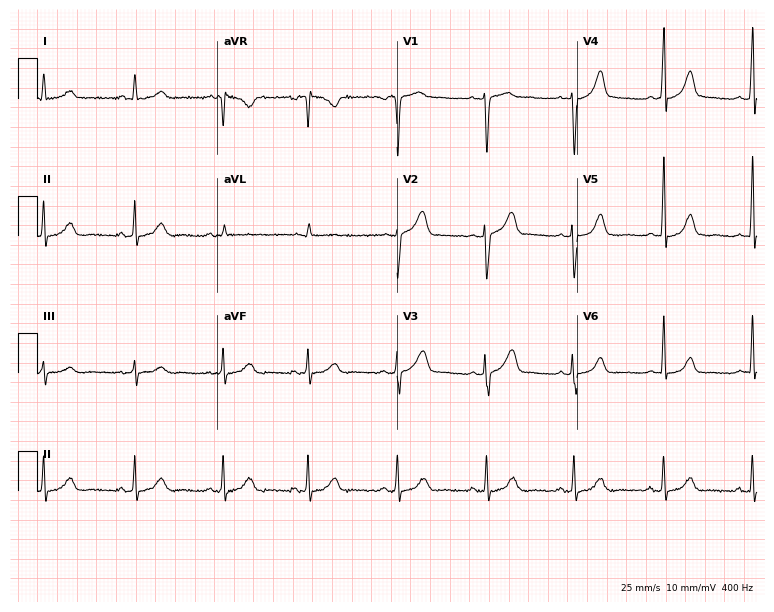
Electrocardiogram (7.3-second recording at 400 Hz), a 43-year-old woman. Overall reading on record: normal ECG.